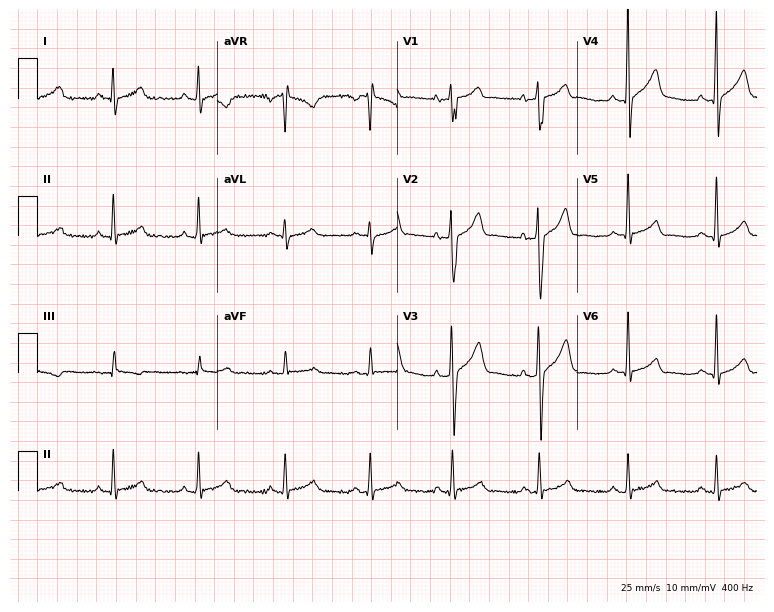
12-lead ECG (7.3-second recording at 400 Hz) from a 44-year-old male. Labelled as a normal ECG.